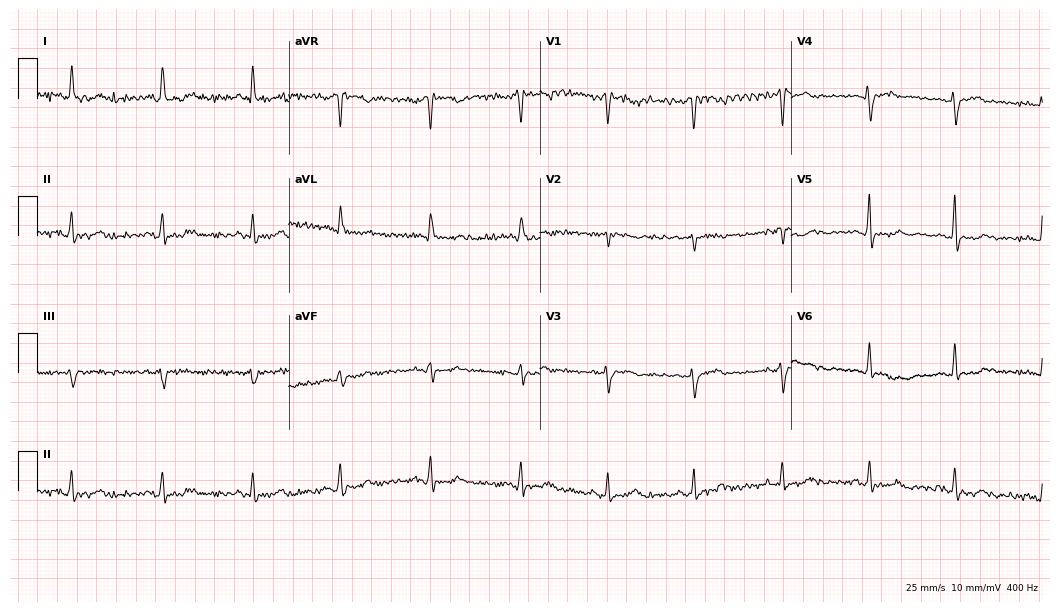
12-lead ECG from a woman, 58 years old. No first-degree AV block, right bundle branch block, left bundle branch block, sinus bradycardia, atrial fibrillation or sinus tachycardia recorded for this tracing.